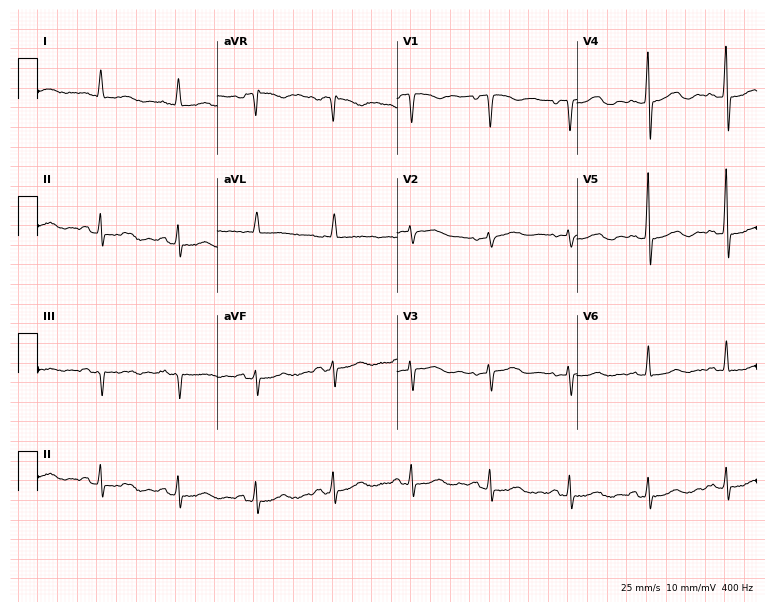
12-lead ECG from a 79-year-old female. Screened for six findings — first-degree AV block, right bundle branch block (RBBB), left bundle branch block (LBBB), sinus bradycardia, atrial fibrillation (AF), sinus tachycardia — none is recorded.